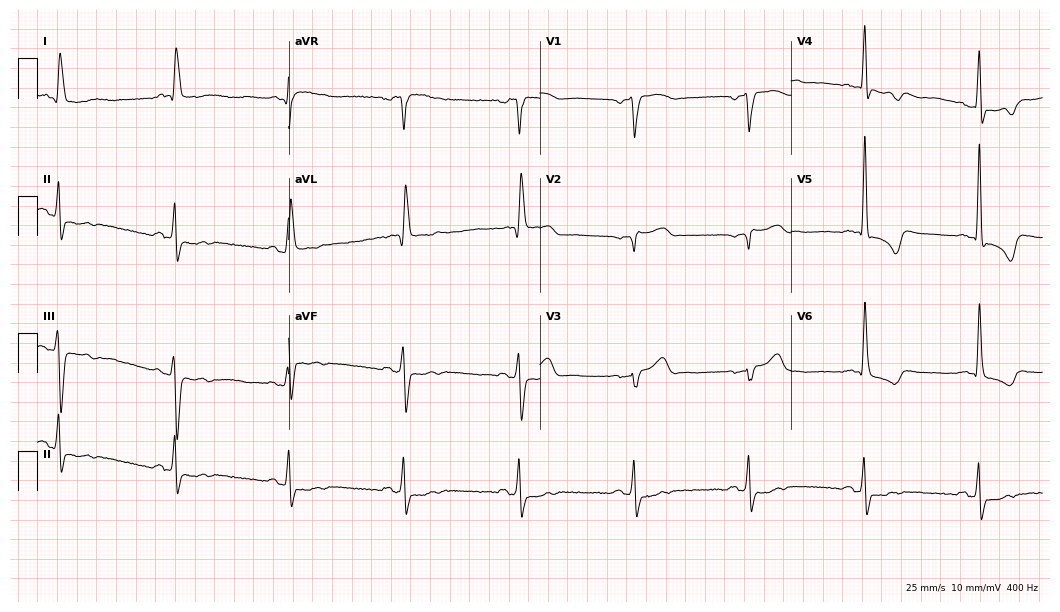
12-lead ECG (10.2-second recording at 400 Hz) from an 83-year-old man. Findings include left bundle branch block.